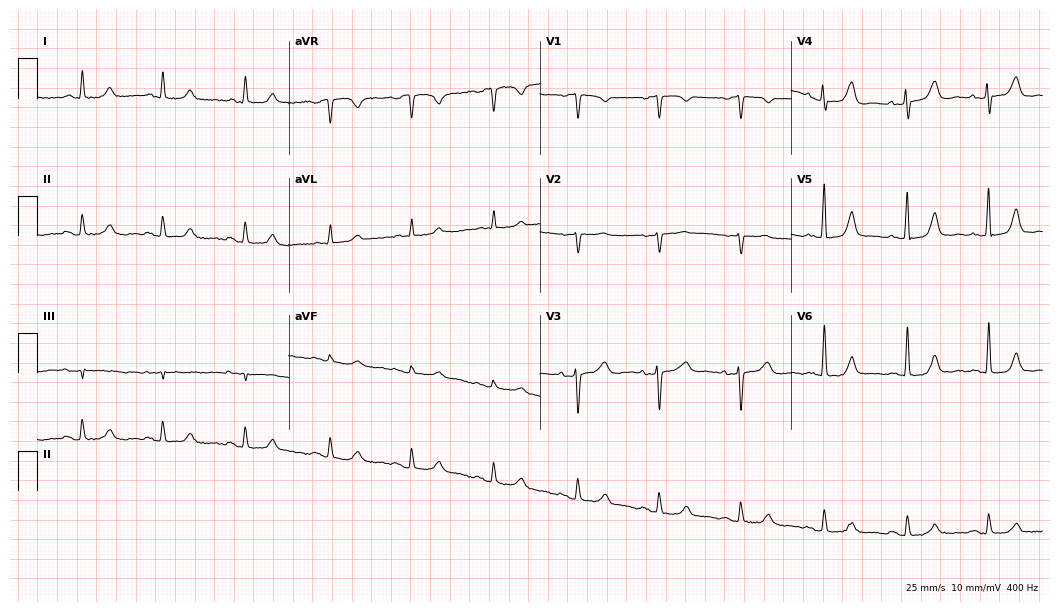
Electrocardiogram, a female patient, 82 years old. Overall reading on record: normal ECG.